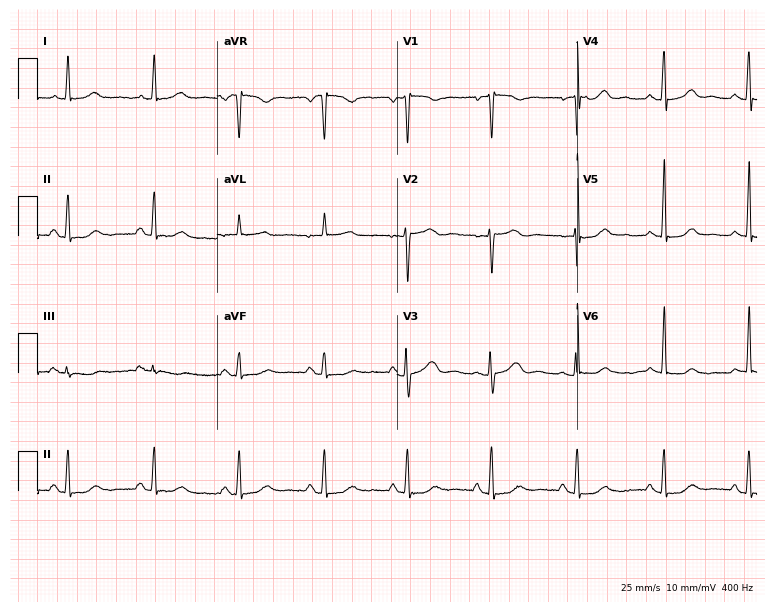
ECG (7.3-second recording at 400 Hz) — a 57-year-old female patient. Labelled as a normal ECG.